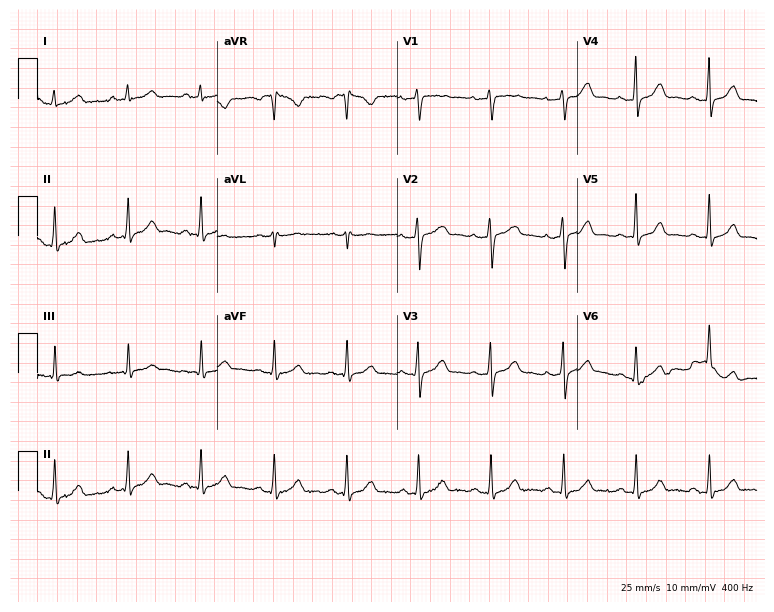
12-lead ECG from a 41-year-old woman (7.3-second recording at 400 Hz). Recorded interpretation: within normal limits.